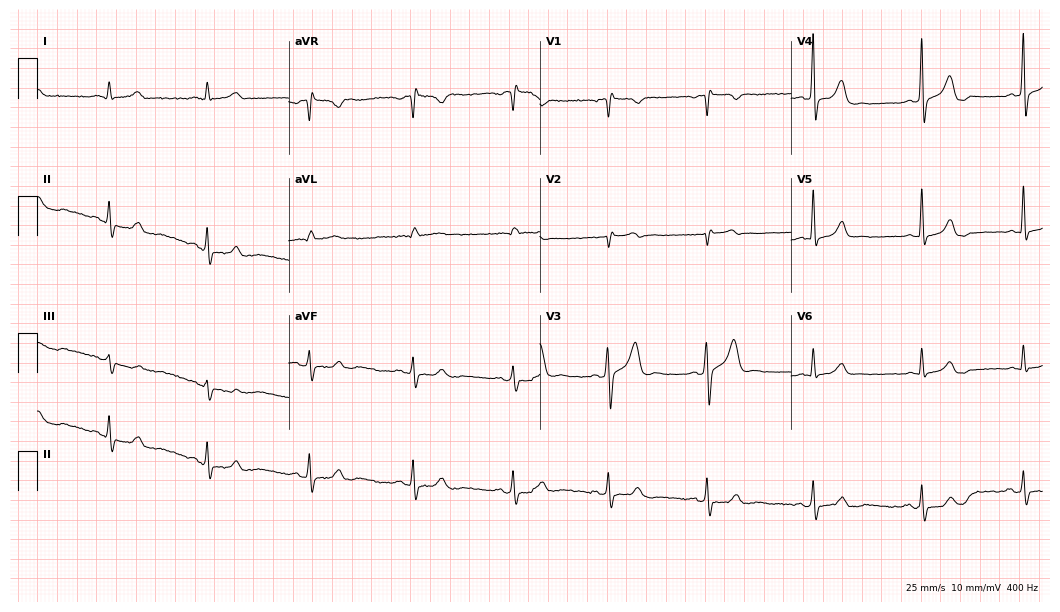
Electrocardiogram (10.2-second recording at 400 Hz), a 39-year-old male patient. Of the six screened findings (first-degree AV block, right bundle branch block, left bundle branch block, sinus bradycardia, atrial fibrillation, sinus tachycardia), none is recorded.